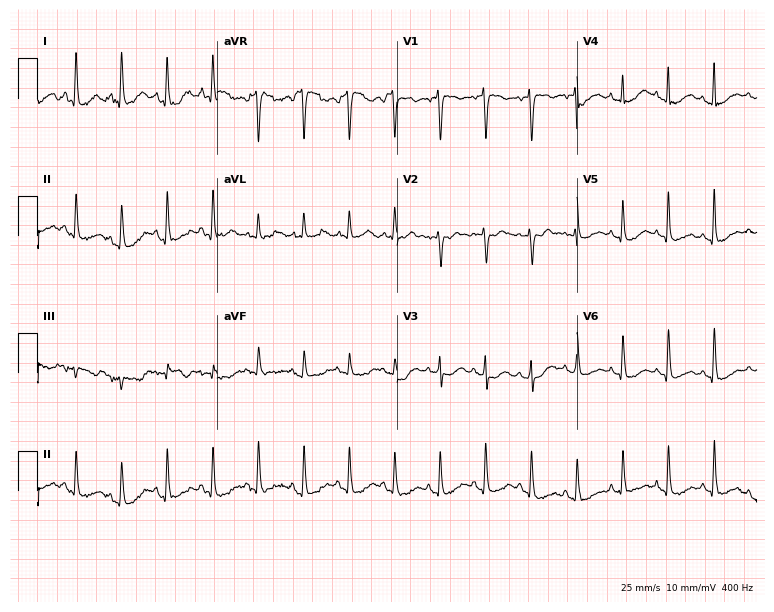
12-lead ECG from a 66-year-old woman. Findings include sinus tachycardia (a sinus rate of 100 beats per minute or more).